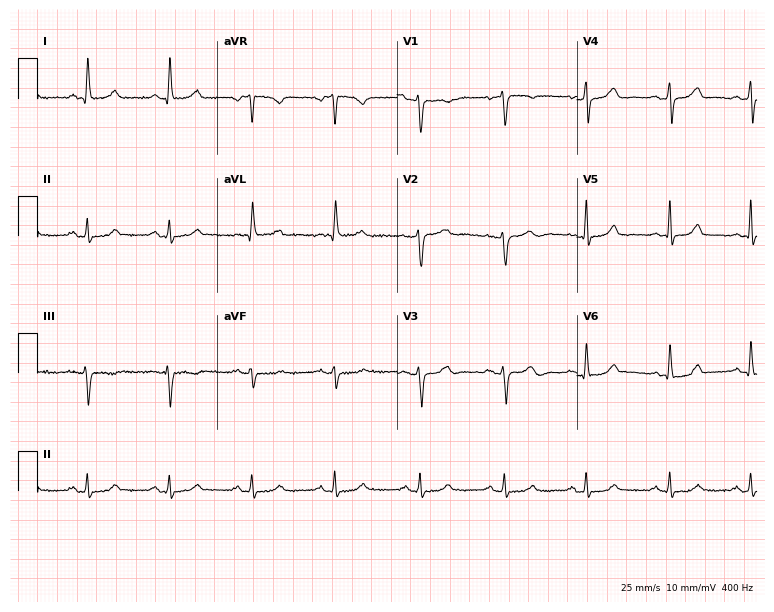
12-lead ECG from a woman, 52 years old. No first-degree AV block, right bundle branch block, left bundle branch block, sinus bradycardia, atrial fibrillation or sinus tachycardia recorded for this tracing.